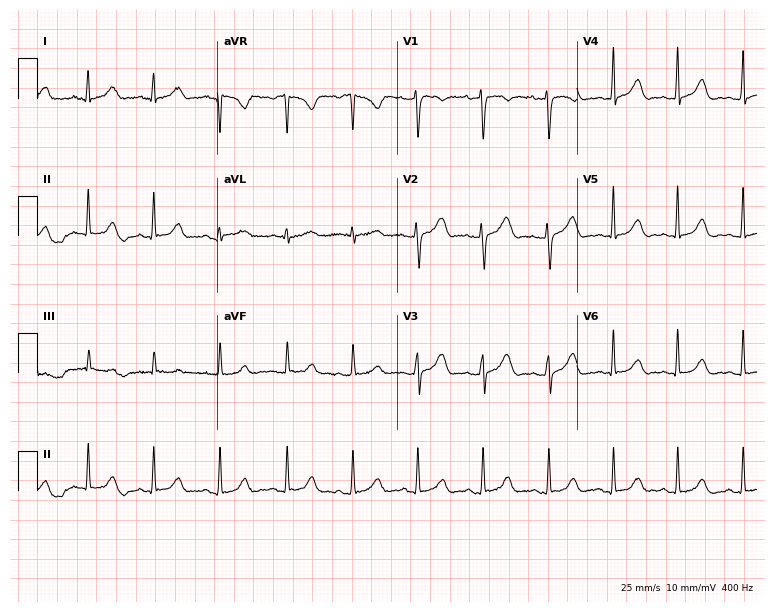
ECG (7.3-second recording at 400 Hz) — a 31-year-old woman. Labelled as a normal ECG.